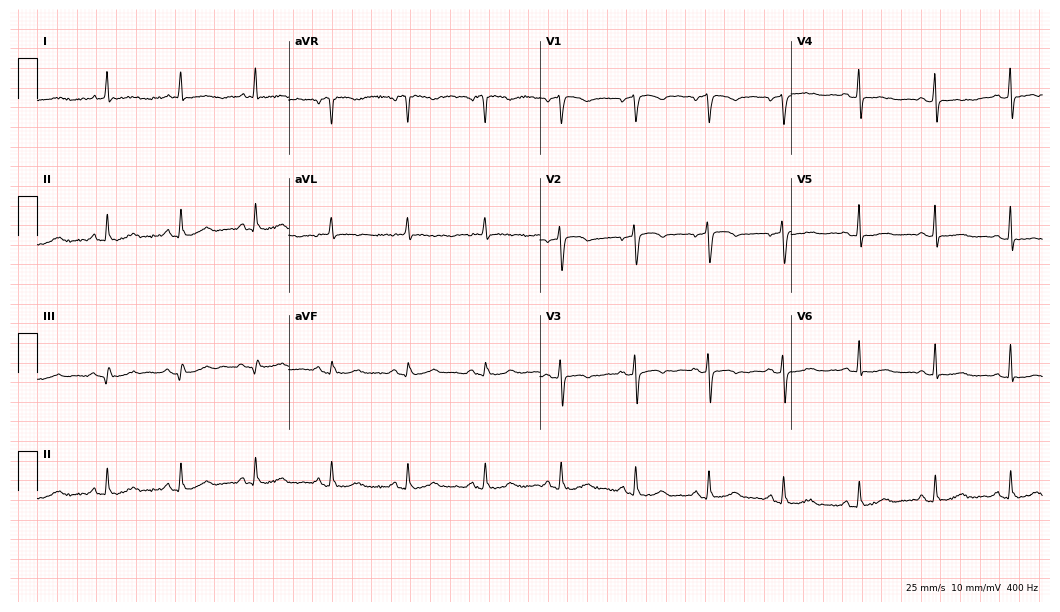
Standard 12-lead ECG recorded from a 74-year-old woman (10.2-second recording at 400 Hz). None of these six findings is recorded: first-degree AV block, right bundle branch block, left bundle branch block, sinus bradycardia, atrial fibrillation, sinus tachycardia.